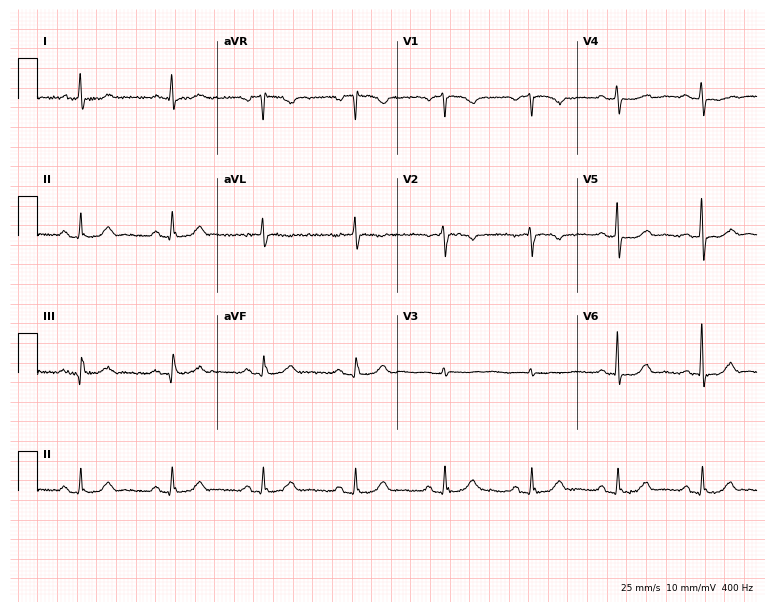
Electrocardiogram (7.3-second recording at 400 Hz), a female patient, 57 years old. Overall reading on record: normal ECG.